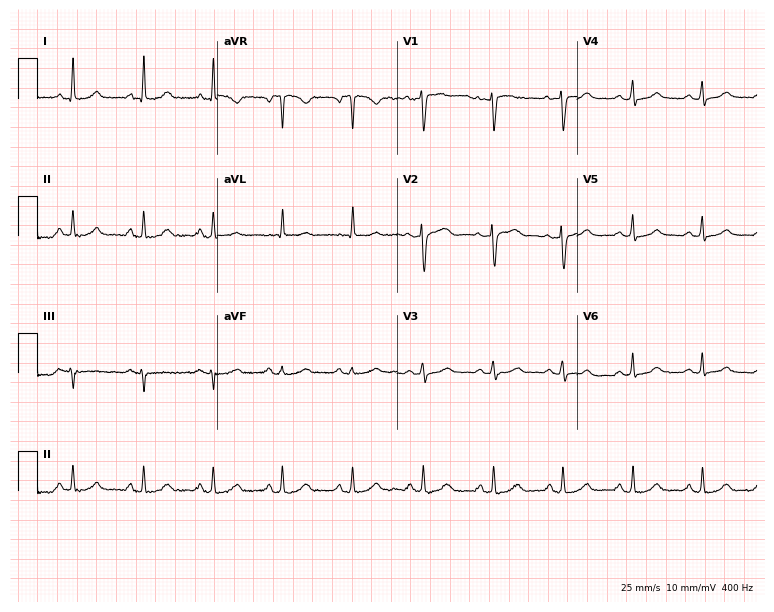
Electrocardiogram, a 53-year-old female. Overall reading on record: normal ECG.